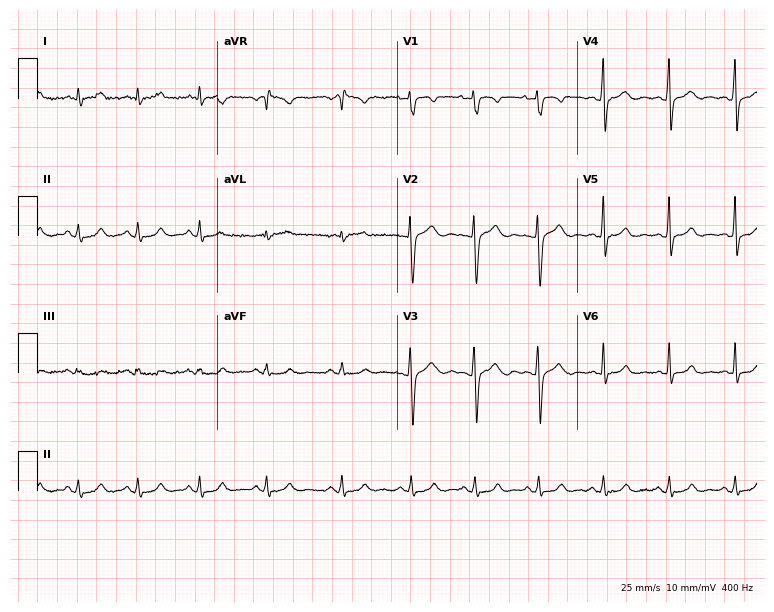
Resting 12-lead electrocardiogram. Patient: a 31-year-old male. None of these six findings is recorded: first-degree AV block, right bundle branch block, left bundle branch block, sinus bradycardia, atrial fibrillation, sinus tachycardia. Other findings, if any, are not listed.